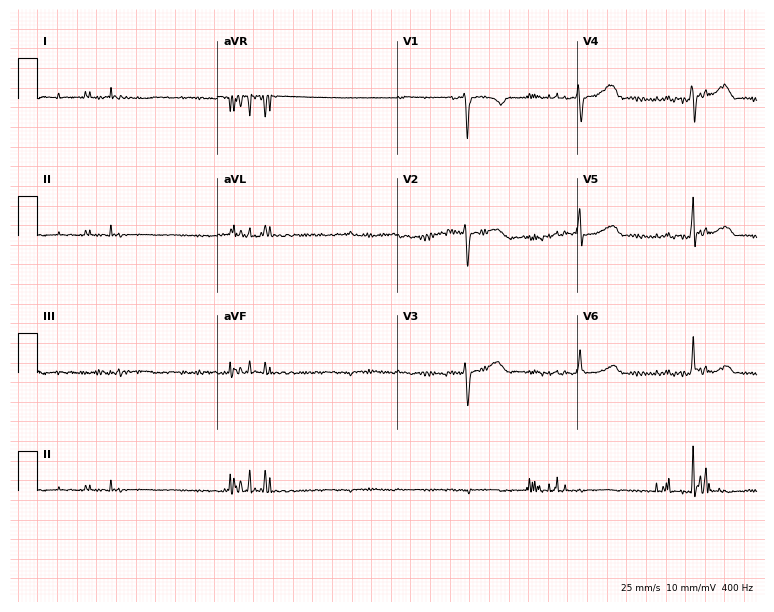
Standard 12-lead ECG recorded from a 56-year-old female (7.3-second recording at 400 Hz). Read as a normal ECG.